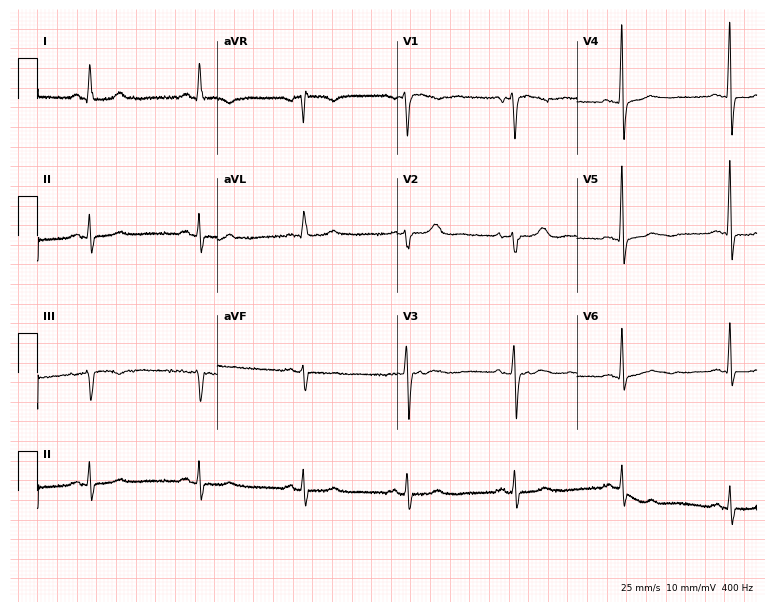
Resting 12-lead electrocardiogram. Patient: a woman, 64 years old. None of these six findings is recorded: first-degree AV block, right bundle branch block, left bundle branch block, sinus bradycardia, atrial fibrillation, sinus tachycardia.